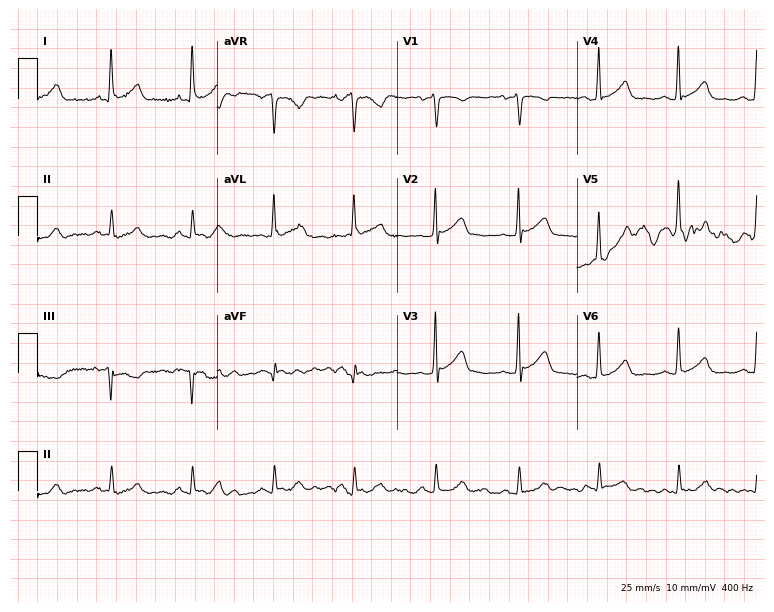
12-lead ECG from a 32-year-old man. Screened for six findings — first-degree AV block, right bundle branch block (RBBB), left bundle branch block (LBBB), sinus bradycardia, atrial fibrillation (AF), sinus tachycardia — none is recorded. Only these six findings were labelled.